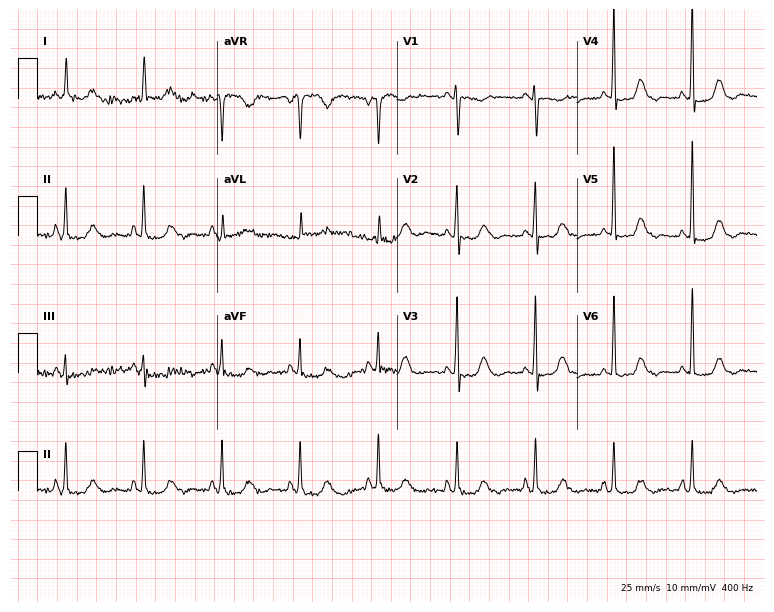
12-lead ECG from a 56-year-old female patient. No first-degree AV block, right bundle branch block, left bundle branch block, sinus bradycardia, atrial fibrillation or sinus tachycardia recorded for this tracing.